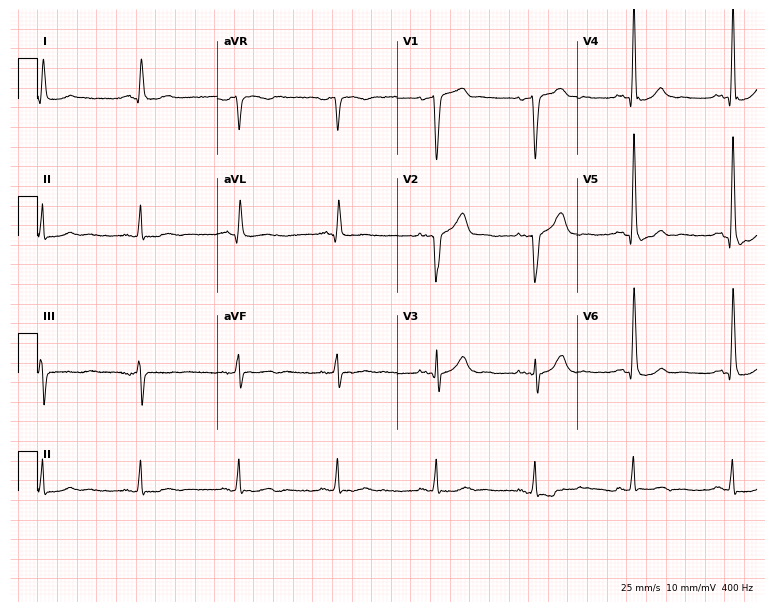
12-lead ECG from a male, 63 years old. Screened for six findings — first-degree AV block, right bundle branch block, left bundle branch block, sinus bradycardia, atrial fibrillation, sinus tachycardia — none is recorded.